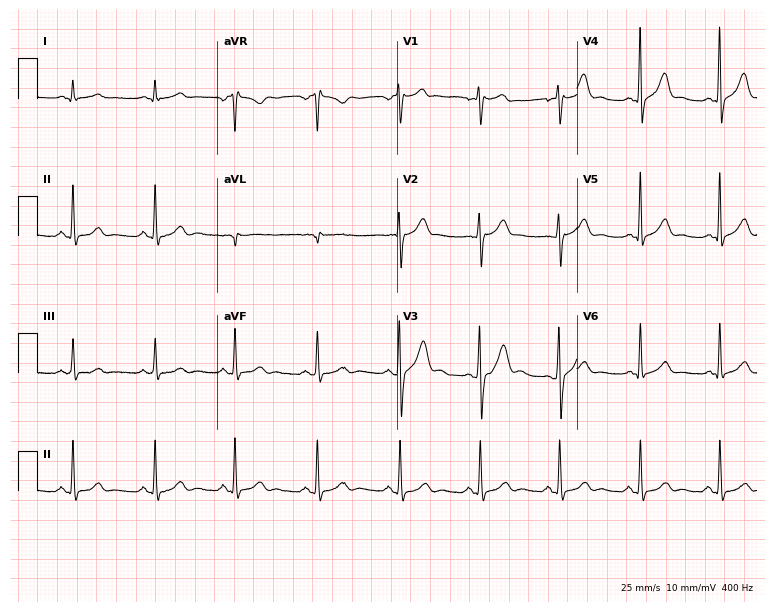
Resting 12-lead electrocardiogram. Patient: a male, 34 years old. Read as a normal ECG.